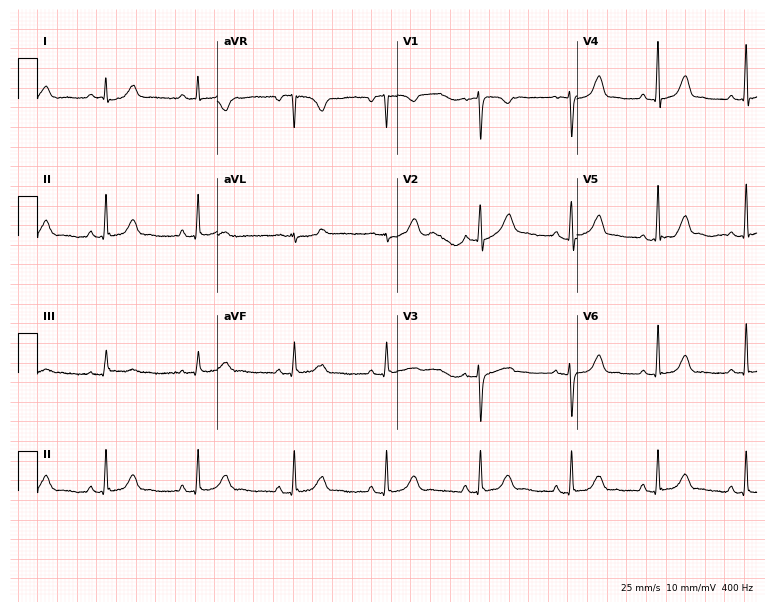
Resting 12-lead electrocardiogram. Patient: a 29-year-old female. Read as a normal ECG.